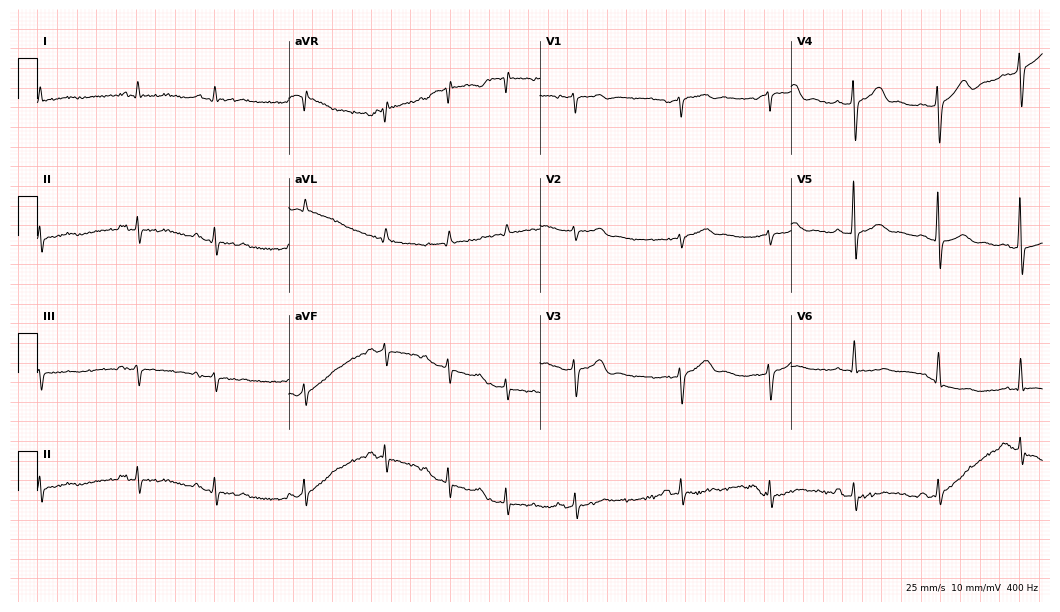
Standard 12-lead ECG recorded from a 74-year-old man (10.2-second recording at 400 Hz). None of these six findings is recorded: first-degree AV block, right bundle branch block, left bundle branch block, sinus bradycardia, atrial fibrillation, sinus tachycardia.